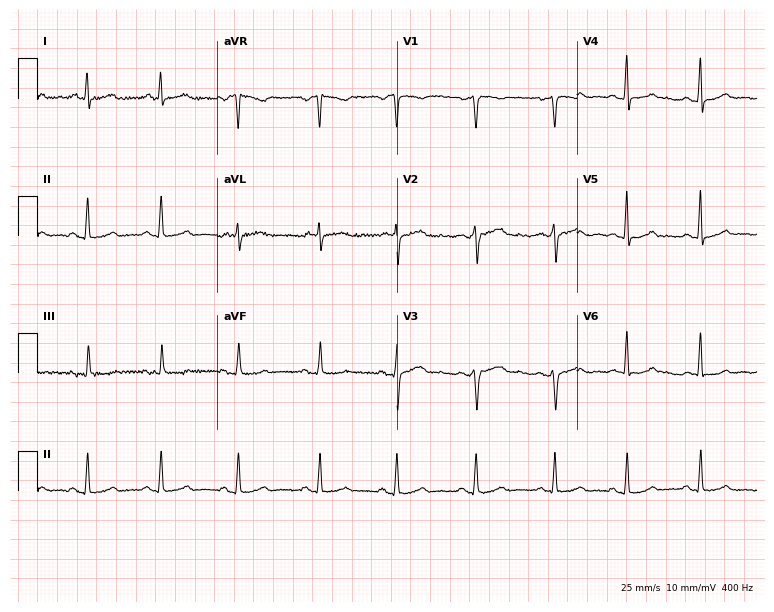
Electrocardiogram (7.3-second recording at 400 Hz), a woman, 43 years old. Of the six screened findings (first-degree AV block, right bundle branch block (RBBB), left bundle branch block (LBBB), sinus bradycardia, atrial fibrillation (AF), sinus tachycardia), none is recorded. Findings outside these six are not listed.